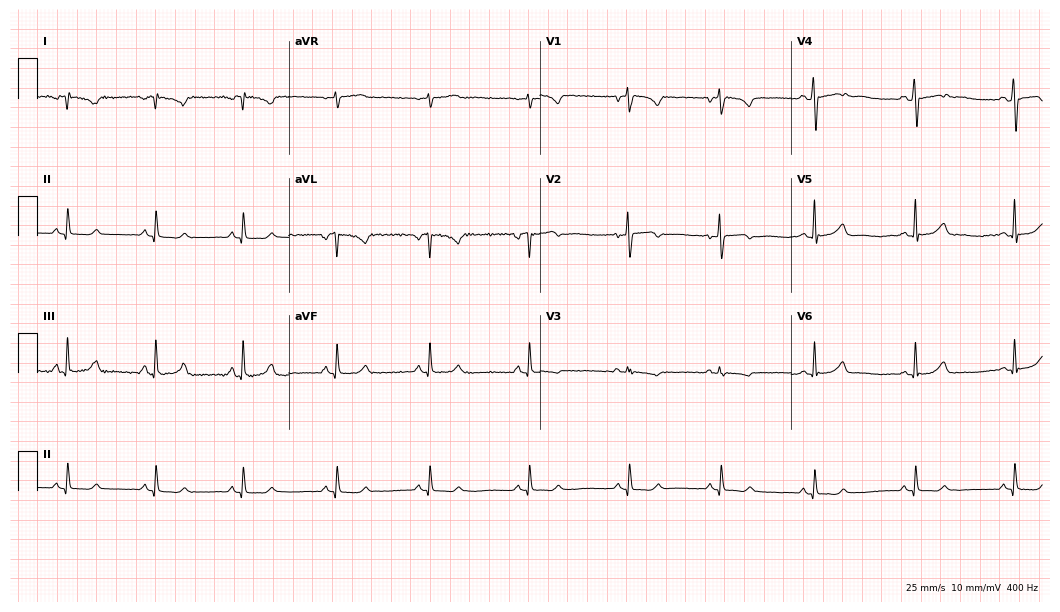
12-lead ECG from a 24-year-old woman (10.2-second recording at 400 Hz). No first-degree AV block, right bundle branch block (RBBB), left bundle branch block (LBBB), sinus bradycardia, atrial fibrillation (AF) or sinus tachycardia recorded for this tracing. Findings outside these six are not listed.